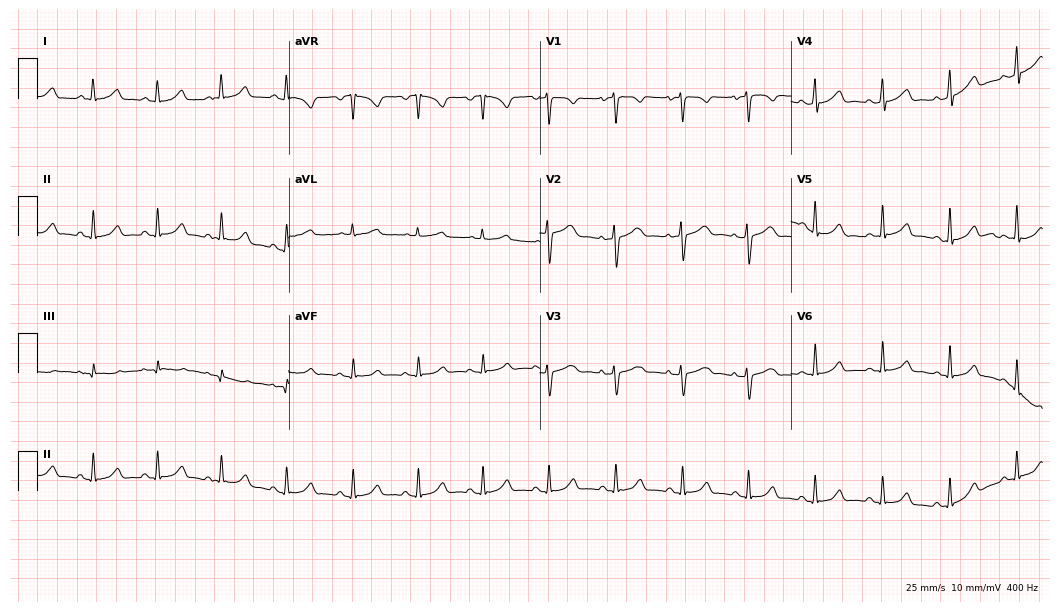
12-lead ECG from a 39-year-old female patient (10.2-second recording at 400 Hz). Recorded interpretation: within normal limits.